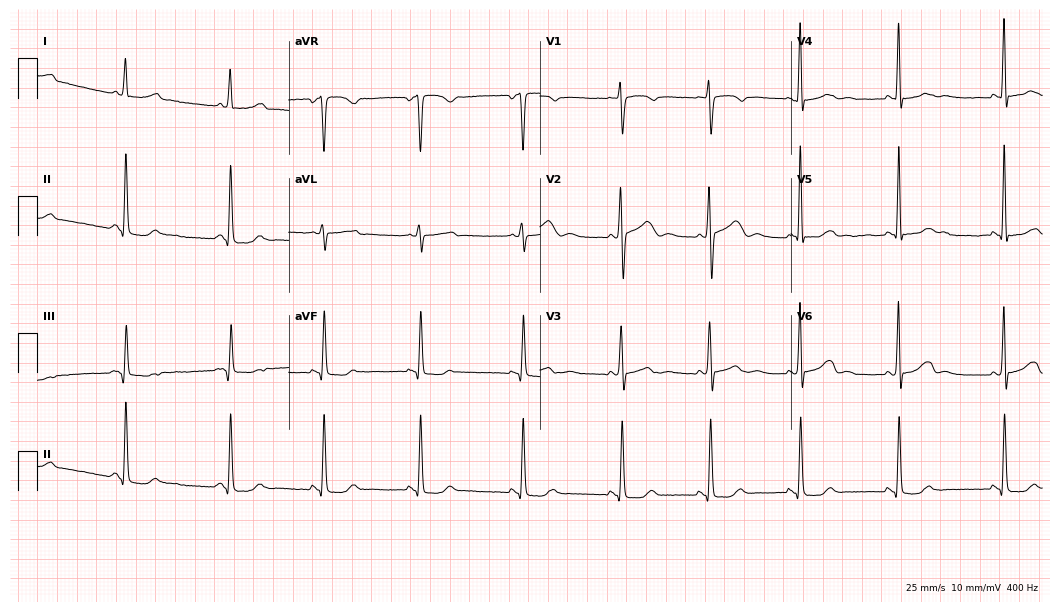
Resting 12-lead electrocardiogram (10.2-second recording at 400 Hz). Patient: a woman, 26 years old. Read as a normal ECG.